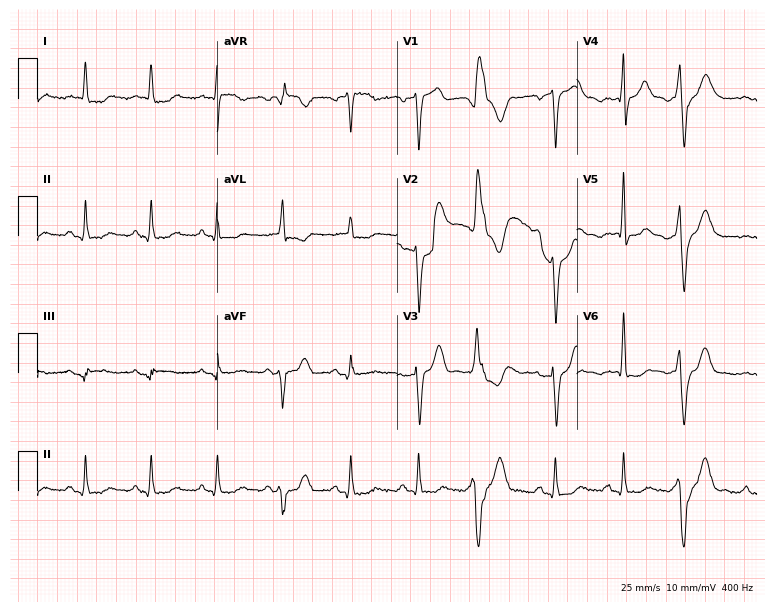
Electrocardiogram (7.3-second recording at 400 Hz), a male, 73 years old. Of the six screened findings (first-degree AV block, right bundle branch block, left bundle branch block, sinus bradycardia, atrial fibrillation, sinus tachycardia), none is recorded.